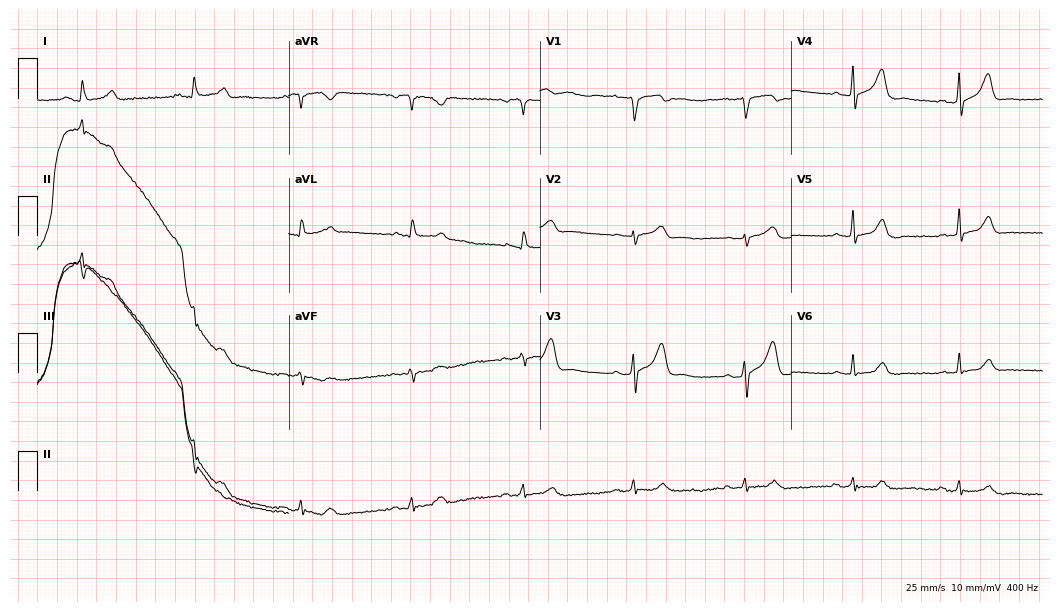
12-lead ECG (10.2-second recording at 400 Hz) from a male patient, 65 years old. Labelled as a normal ECG.